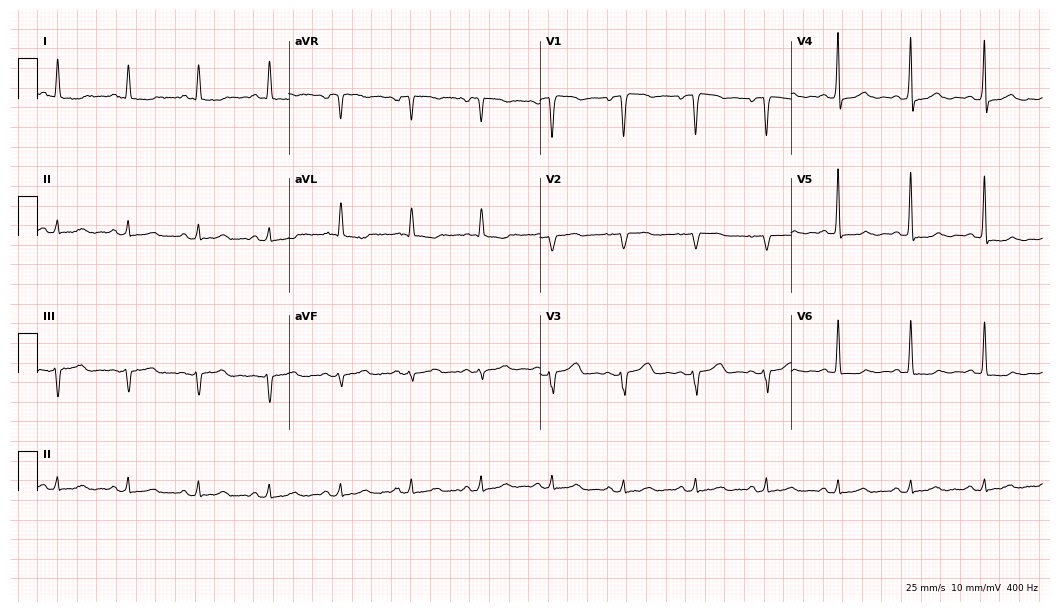
ECG — a female, 71 years old. Screened for six findings — first-degree AV block, right bundle branch block, left bundle branch block, sinus bradycardia, atrial fibrillation, sinus tachycardia — none is recorded.